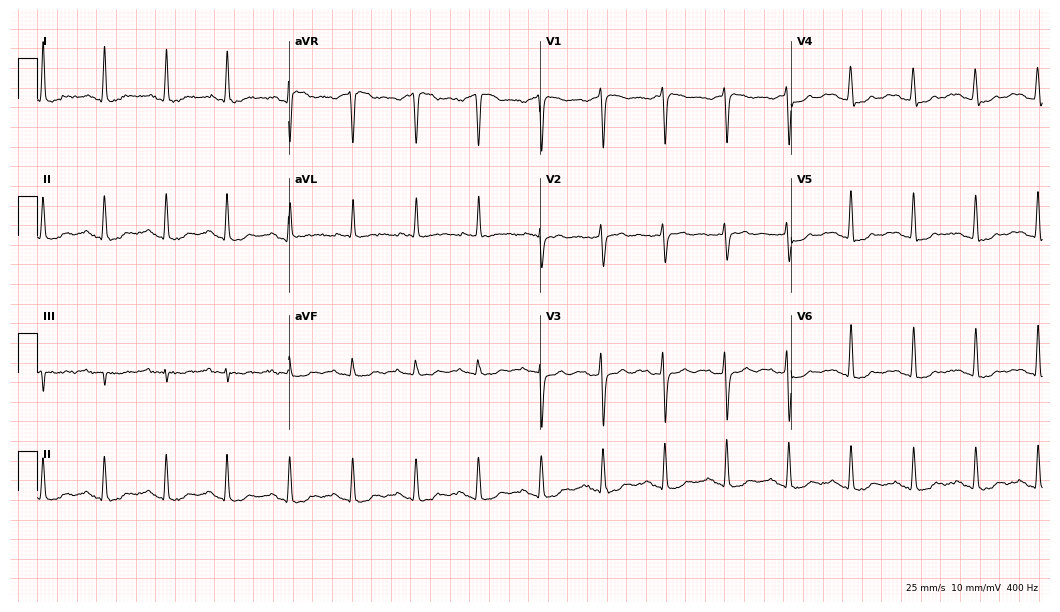
Resting 12-lead electrocardiogram. Patient: an 84-year-old woman. None of these six findings is recorded: first-degree AV block, right bundle branch block, left bundle branch block, sinus bradycardia, atrial fibrillation, sinus tachycardia.